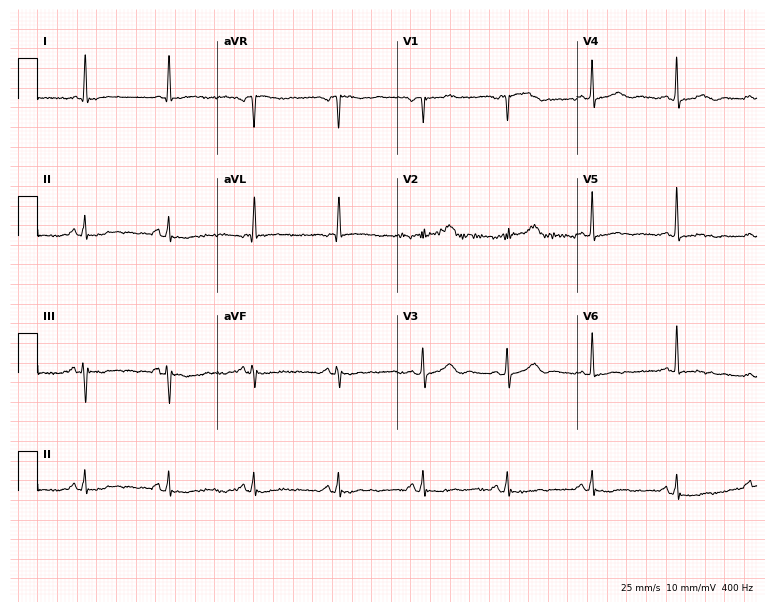
12-lead ECG from a 69-year-old female (7.3-second recording at 400 Hz). No first-degree AV block, right bundle branch block, left bundle branch block, sinus bradycardia, atrial fibrillation or sinus tachycardia recorded for this tracing. Other findings, if any, are not listed.